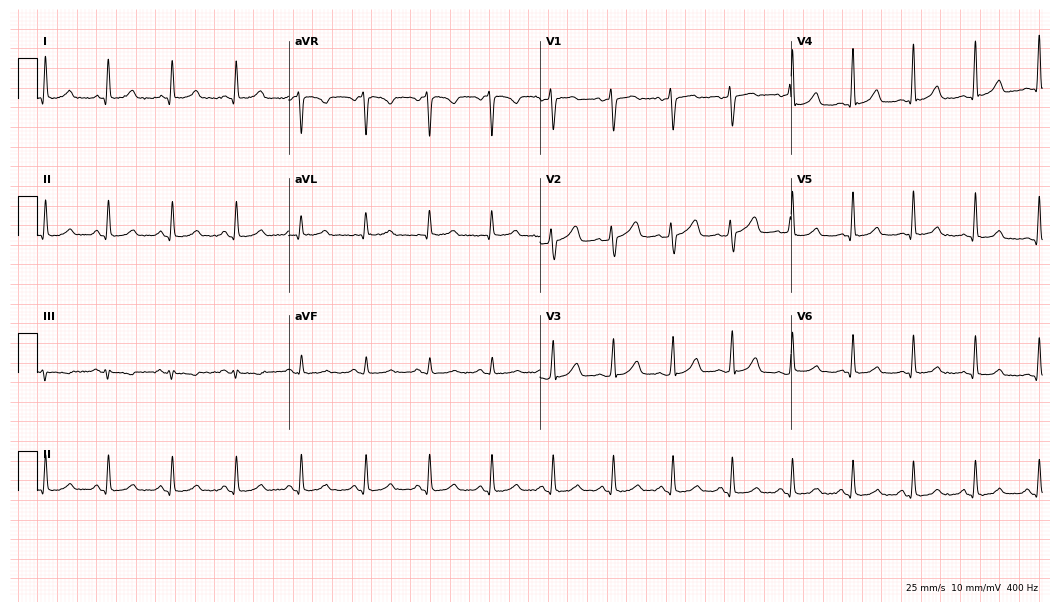
12-lead ECG from a female patient, 42 years old. No first-degree AV block, right bundle branch block, left bundle branch block, sinus bradycardia, atrial fibrillation or sinus tachycardia recorded for this tracing. Only these six findings were labelled.